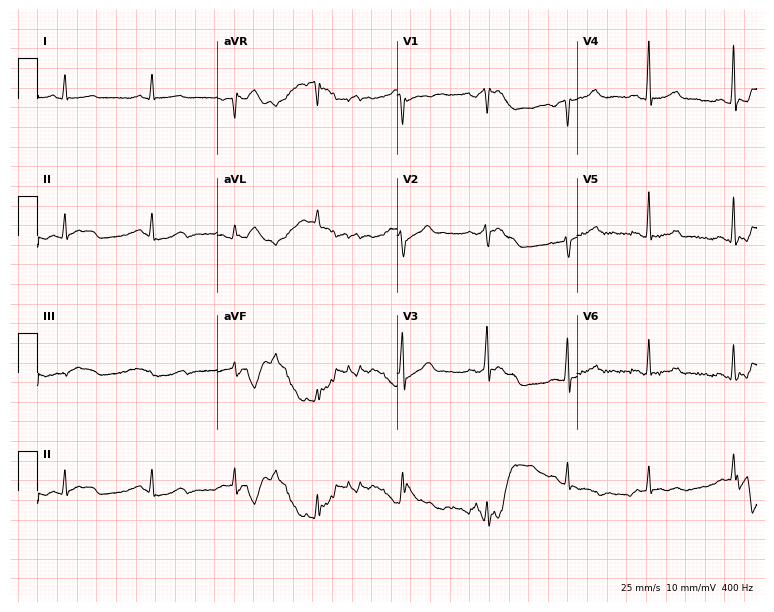
Resting 12-lead electrocardiogram. Patient: a male, 53 years old. Read as a normal ECG.